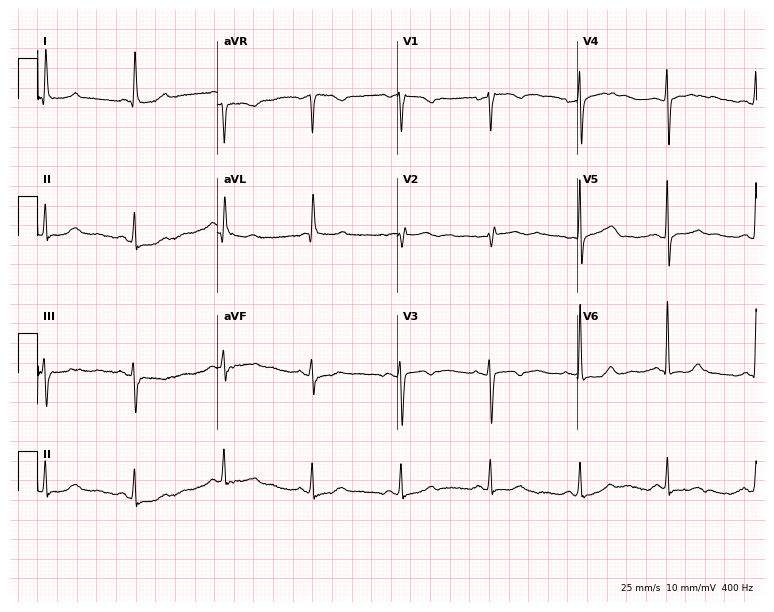
Electrocardiogram, a female, 72 years old. Of the six screened findings (first-degree AV block, right bundle branch block, left bundle branch block, sinus bradycardia, atrial fibrillation, sinus tachycardia), none is recorded.